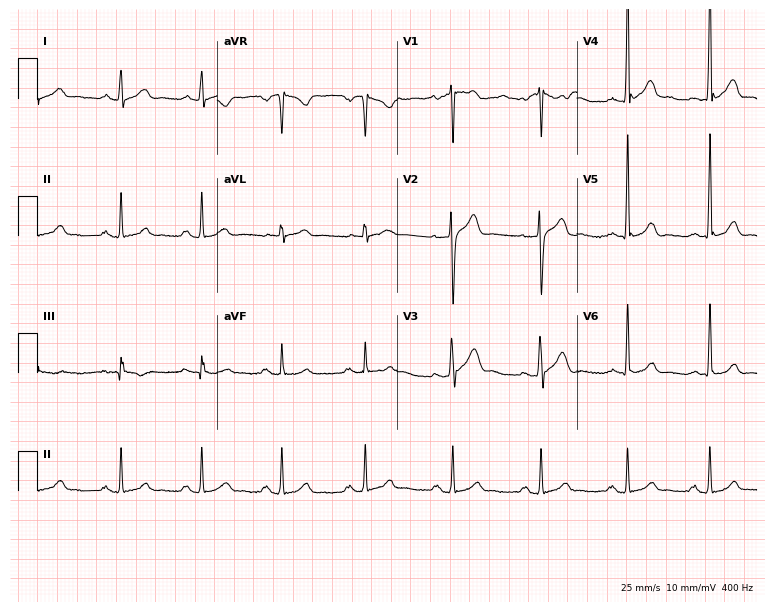
Standard 12-lead ECG recorded from a man, 39 years old. None of these six findings is recorded: first-degree AV block, right bundle branch block (RBBB), left bundle branch block (LBBB), sinus bradycardia, atrial fibrillation (AF), sinus tachycardia. Findings outside these six are not listed.